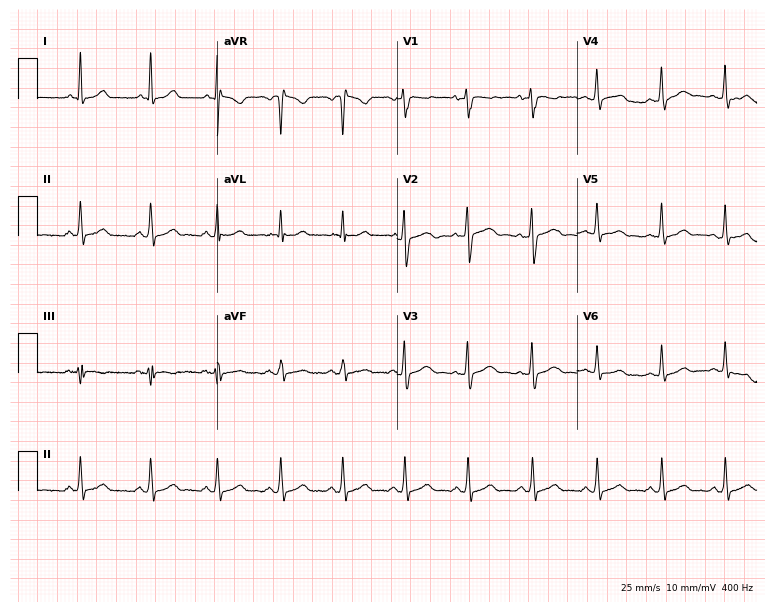
Electrocardiogram (7.3-second recording at 400 Hz), a 29-year-old female patient. Of the six screened findings (first-degree AV block, right bundle branch block, left bundle branch block, sinus bradycardia, atrial fibrillation, sinus tachycardia), none is recorded. Only these six findings were labelled.